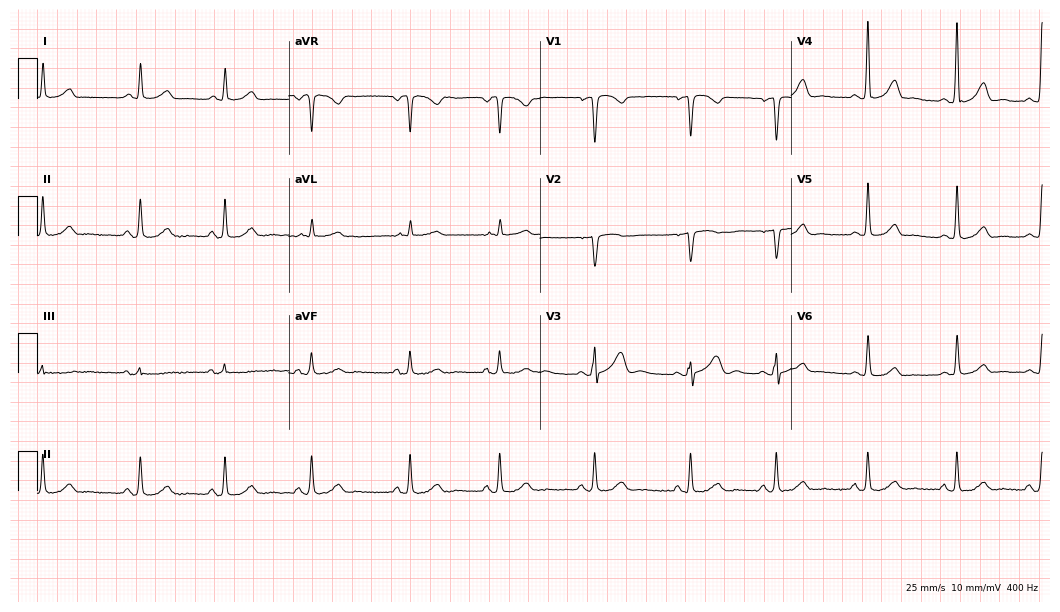
12-lead ECG from a female, 43 years old. Labelled as a normal ECG.